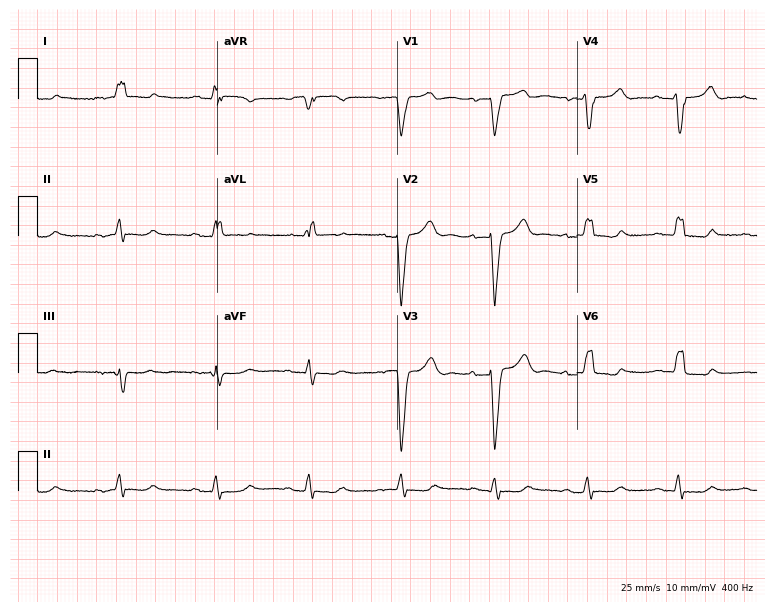
Standard 12-lead ECG recorded from an 81-year-old female patient (7.3-second recording at 400 Hz). The tracing shows left bundle branch block (LBBB).